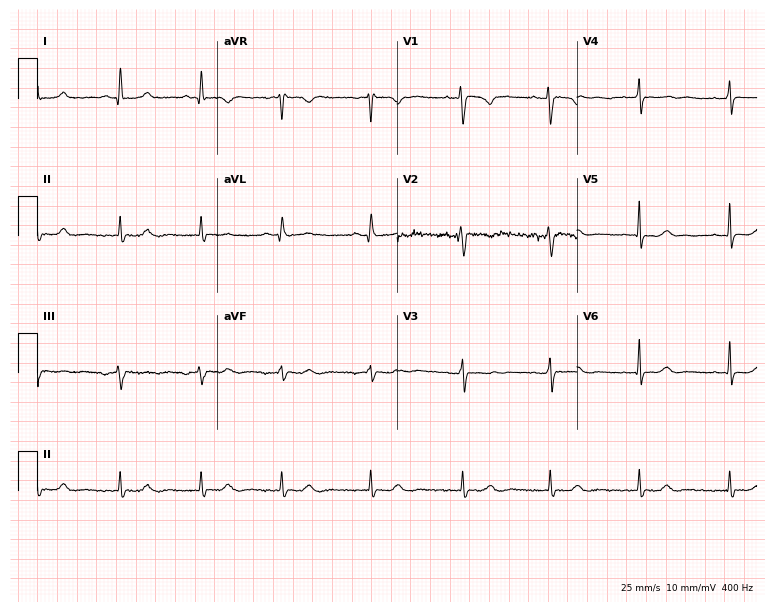
Electrocardiogram, a woman, 48 years old. Overall reading on record: normal ECG.